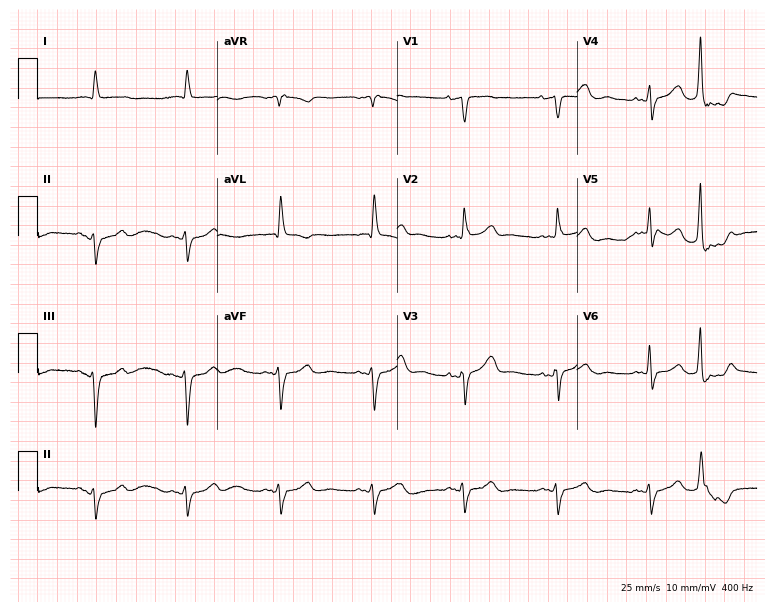
12-lead ECG from an 81-year-old male patient. Screened for six findings — first-degree AV block, right bundle branch block, left bundle branch block, sinus bradycardia, atrial fibrillation, sinus tachycardia — none is recorded.